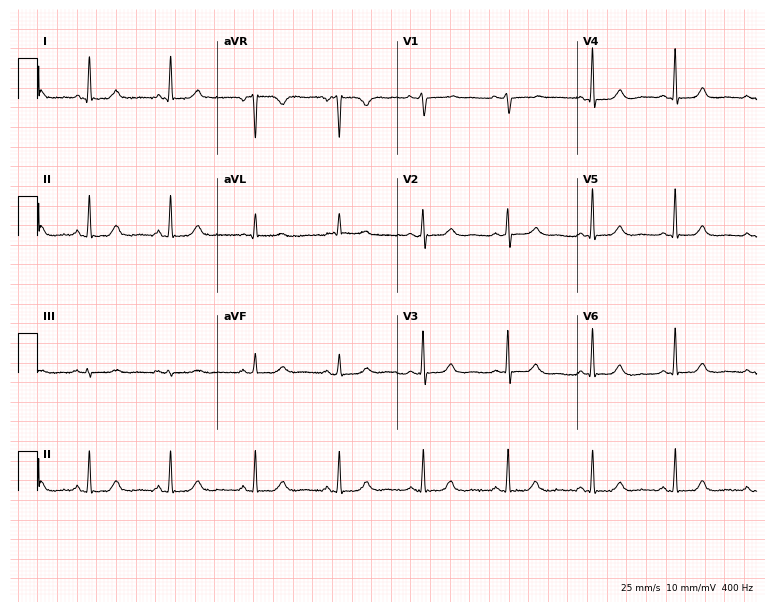
12-lead ECG (7.3-second recording at 400 Hz) from a woman, 48 years old. Labelled as a normal ECG.